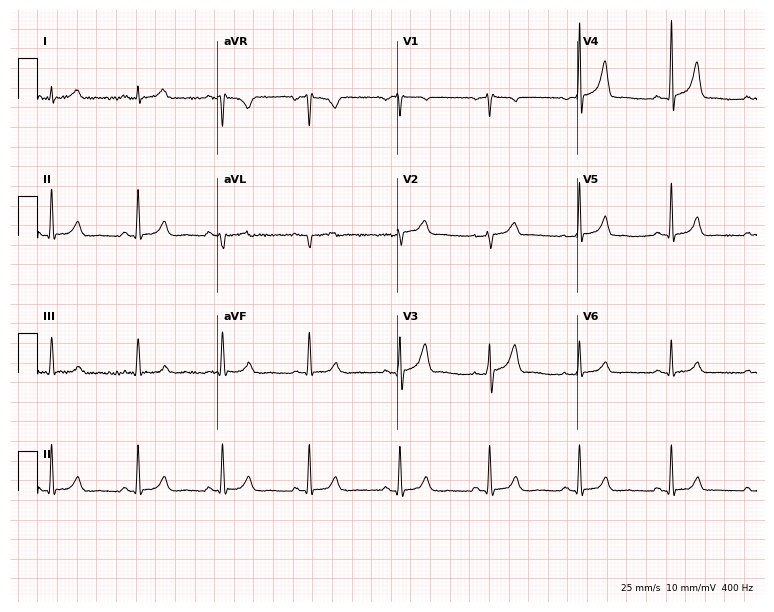
ECG (7.3-second recording at 400 Hz) — a male patient, 36 years old. Labelled as a normal ECG.